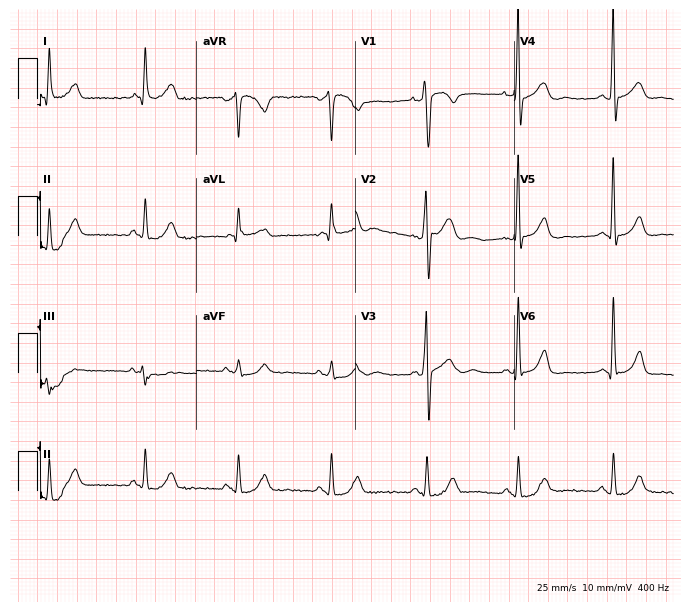
ECG — a male, 43 years old. Screened for six findings — first-degree AV block, right bundle branch block, left bundle branch block, sinus bradycardia, atrial fibrillation, sinus tachycardia — none is recorded.